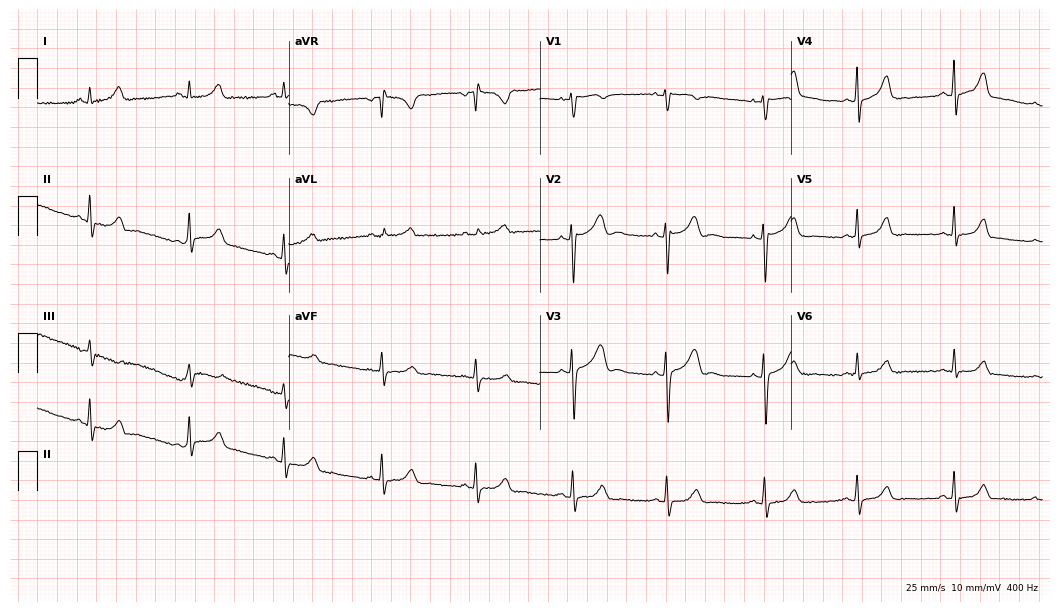
Electrocardiogram, a female, 23 years old. Overall reading on record: normal ECG.